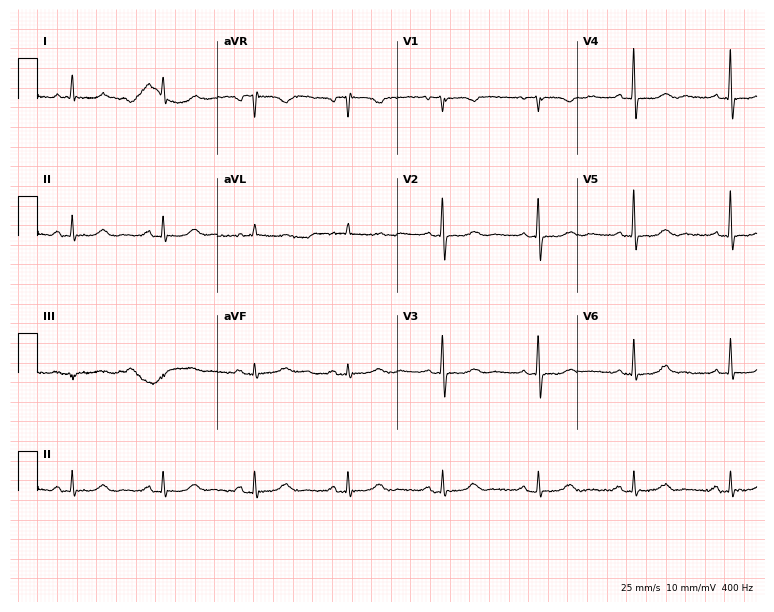
12-lead ECG from a female patient, 70 years old. Screened for six findings — first-degree AV block, right bundle branch block, left bundle branch block, sinus bradycardia, atrial fibrillation, sinus tachycardia — none is recorded.